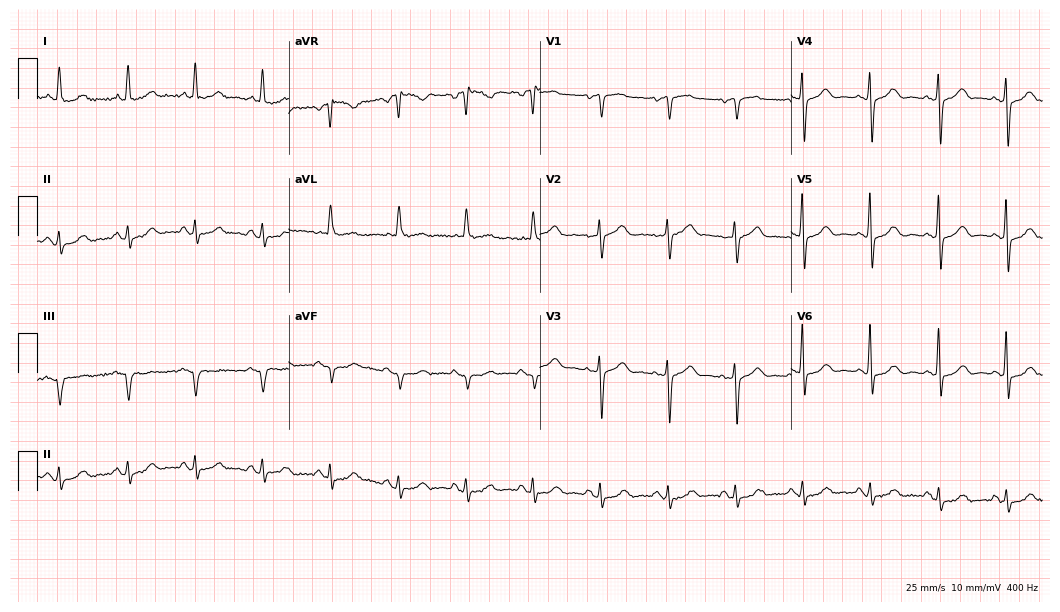
Resting 12-lead electrocardiogram (10.2-second recording at 400 Hz). Patient: a 76-year-old woman. Read as a normal ECG.